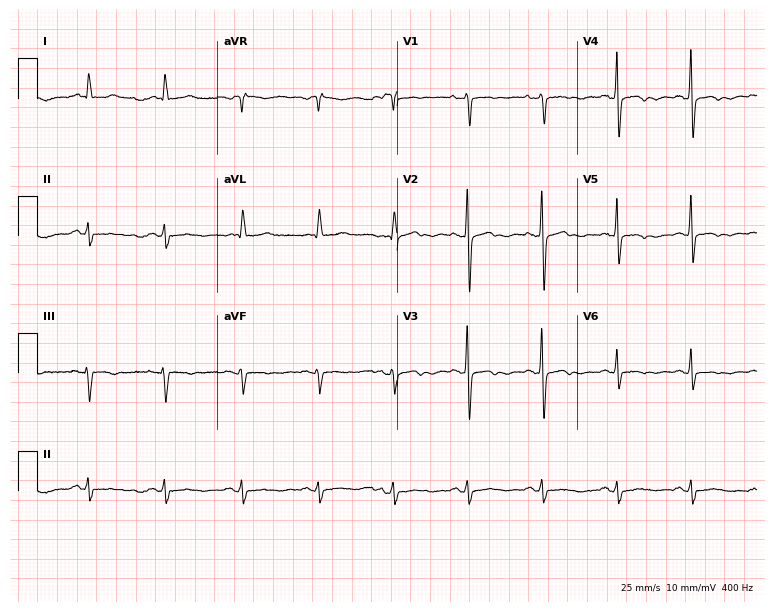
Resting 12-lead electrocardiogram (7.3-second recording at 400 Hz). Patient: an 85-year-old female. None of these six findings is recorded: first-degree AV block, right bundle branch block, left bundle branch block, sinus bradycardia, atrial fibrillation, sinus tachycardia.